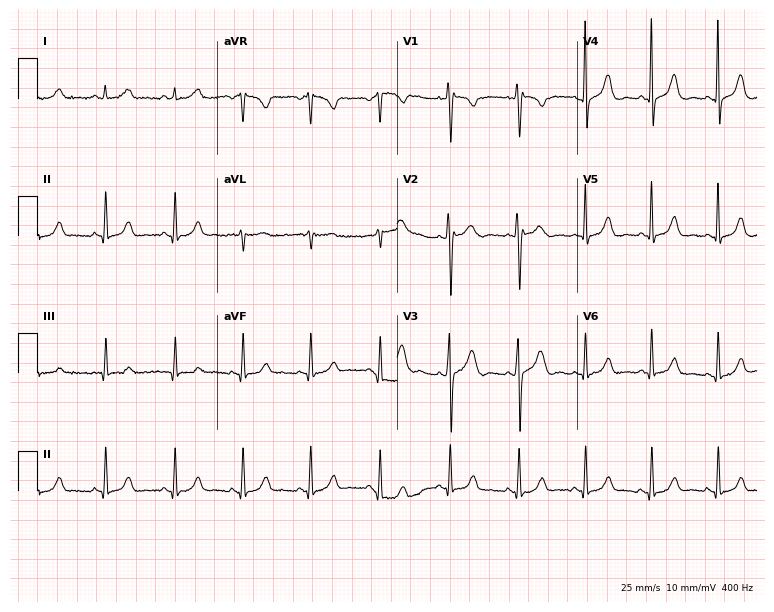
ECG — a female, 56 years old. Screened for six findings — first-degree AV block, right bundle branch block (RBBB), left bundle branch block (LBBB), sinus bradycardia, atrial fibrillation (AF), sinus tachycardia — none is recorded.